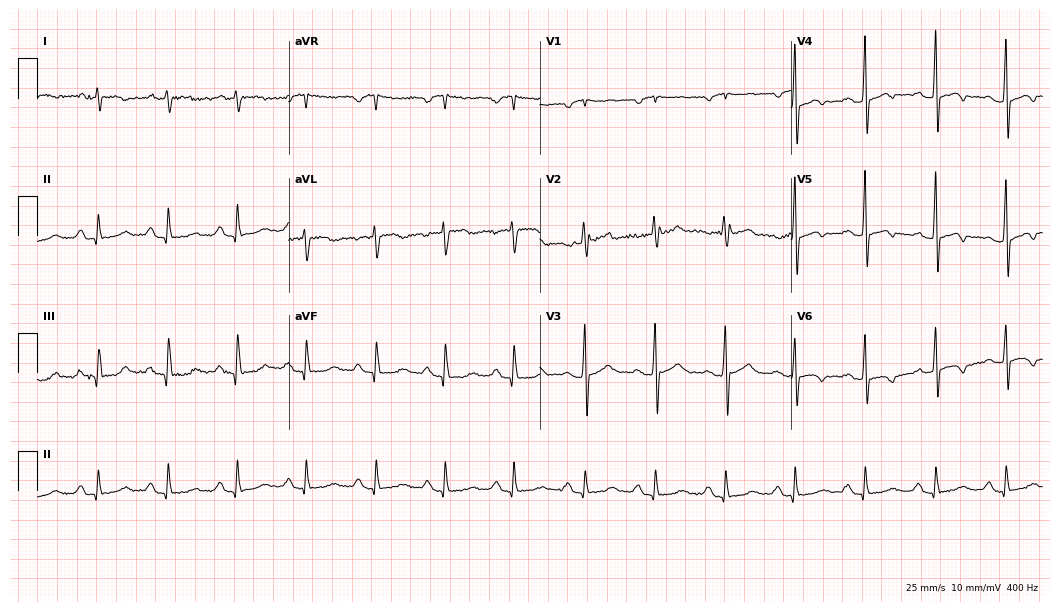
12-lead ECG (10.2-second recording at 400 Hz) from a male, 80 years old. Screened for six findings — first-degree AV block, right bundle branch block, left bundle branch block, sinus bradycardia, atrial fibrillation, sinus tachycardia — none is recorded.